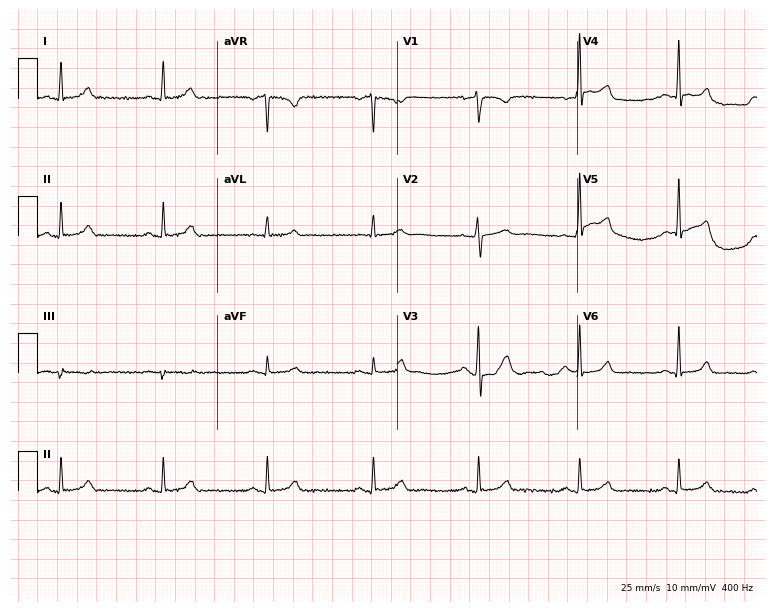
Standard 12-lead ECG recorded from a 33-year-old female (7.3-second recording at 400 Hz). Read as a normal ECG.